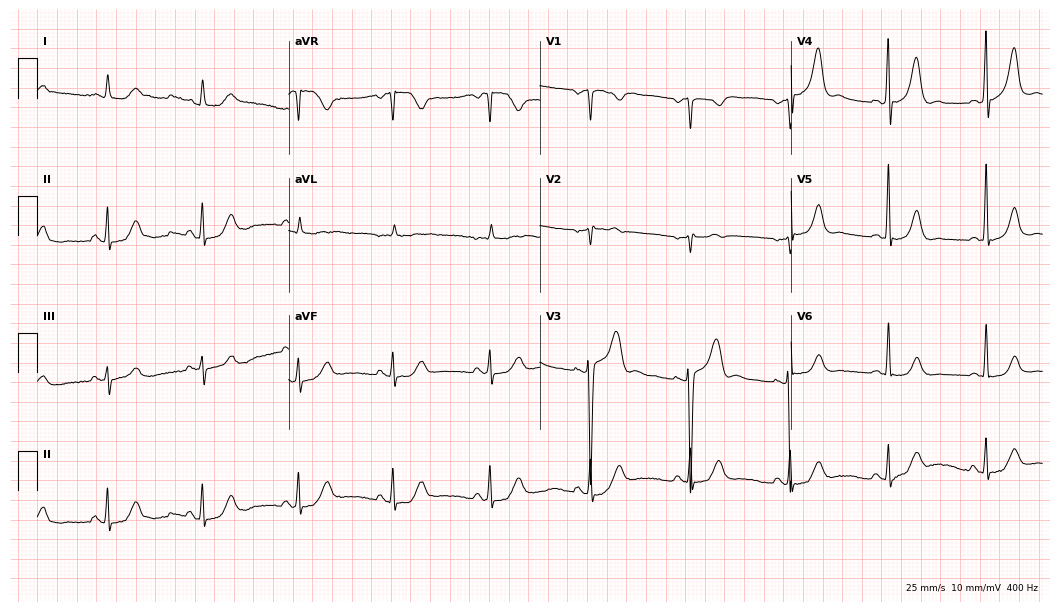
Electrocardiogram, a 57-year-old man. Overall reading on record: normal ECG.